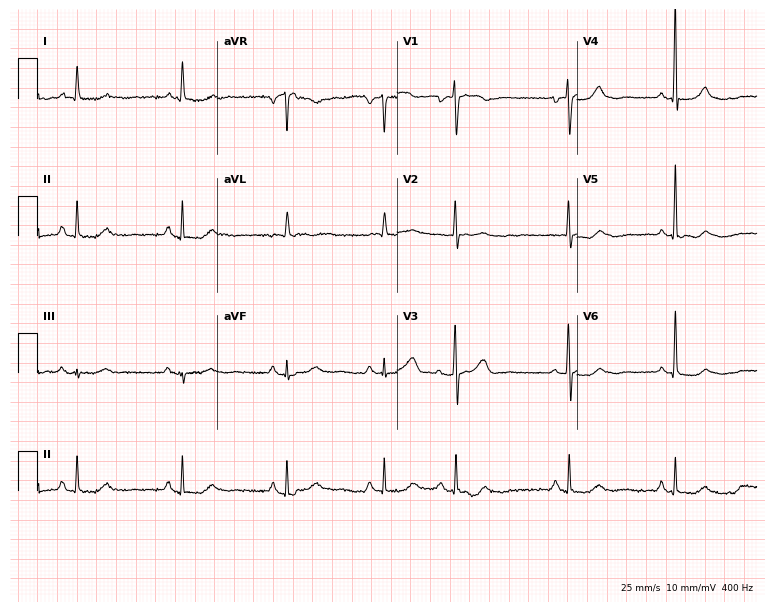
Resting 12-lead electrocardiogram. Patient: an 80-year-old woman. None of these six findings is recorded: first-degree AV block, right bundle branch block, left bundle branch block, sinus bradycardia, atrial fibrillation, sinus tachycardia.